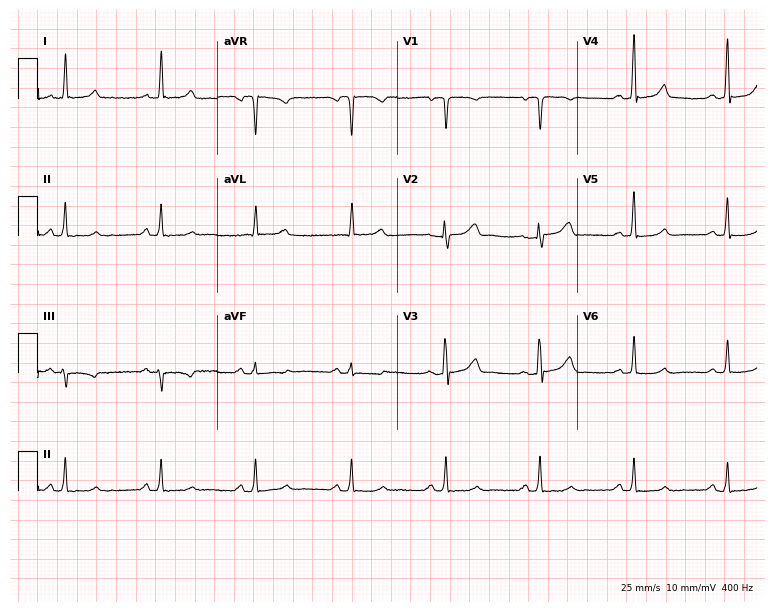
Resting 12-lead electrocardiogram (7.3-second recording at 400 Hz). Patient: a female, 53 years old. None of these six findings is recorded: first-degree AV block, right bundle branch block, left bundle branch block, sinus bradycardia, atrial fibrillation, sinus tachycardia.